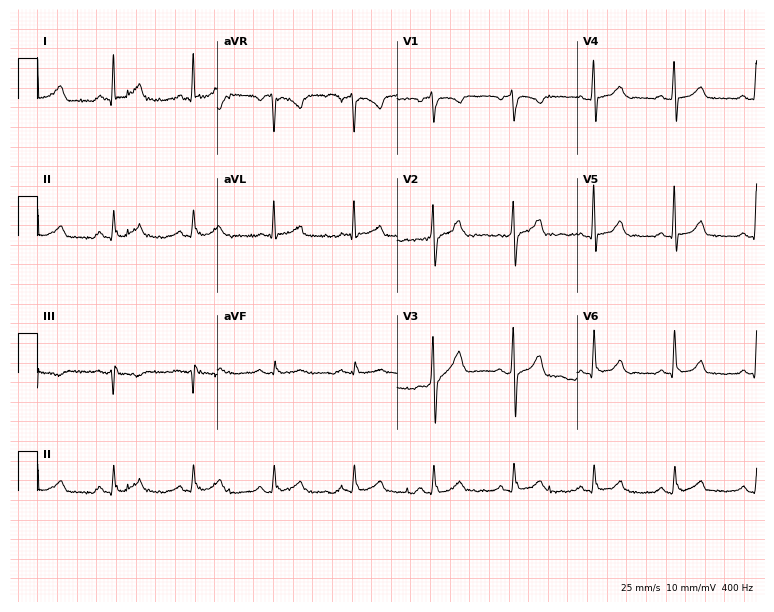
Electrocardiogram (7.3-second recording at 400 Hz), a male patient, 54 years old. Of the six screened findings (first-degree AV block, right bundle branch block (RBBB), left bundle branch block (LBBB), sinus bradycardia, atrial fibrillation (AF), sinus tachycardia), none is recorded.